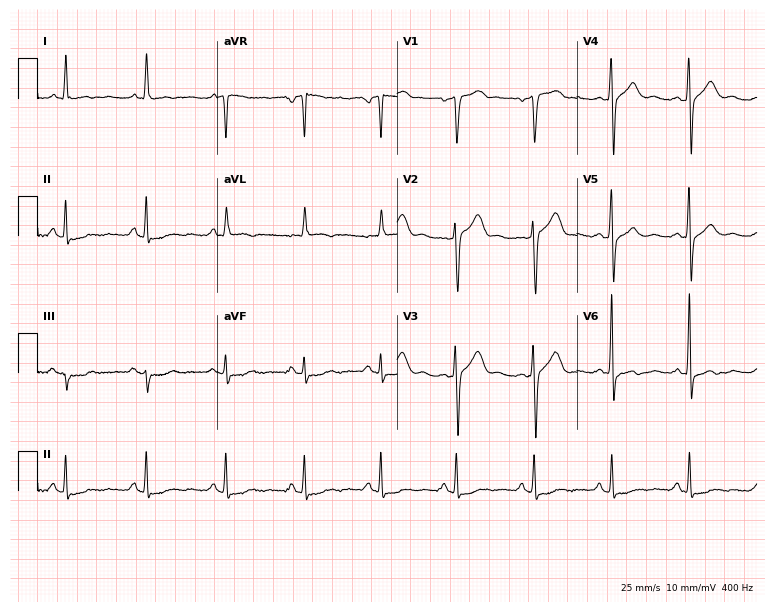
12-lead ECG from a 53-year-old male. Screened for six findings — first-degree AV block, right bundle branch block (RBBB), left bundle branch block (LBBB), sinus bradycardia, atrial fibrillation (AF), sinus tachycardia — none is recorded. Other findings, if any, are not listed.